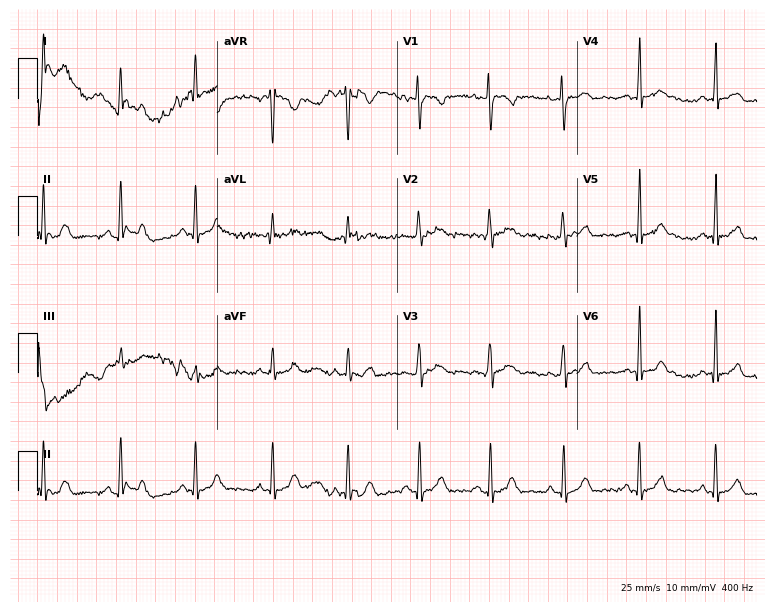
12-lead ECG from a female patient, 24 years old. No first-degree AV block, right bundle branch block, left bundle branch block, sinus bradycardia, atrial fibrillation or sinus tachycardia recorded for this tracing. Other findings, if any, are not listed.